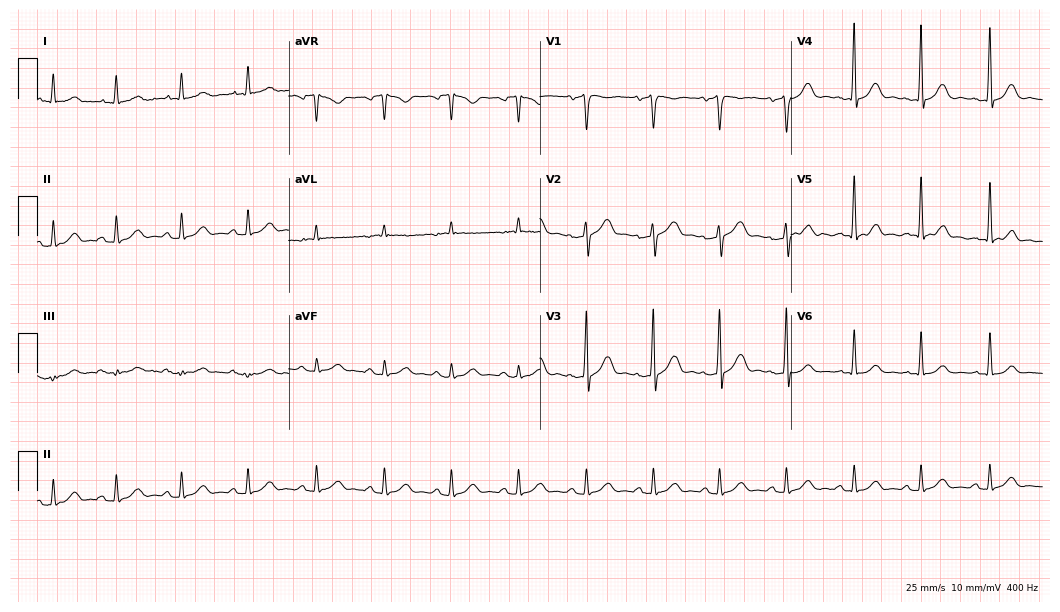
Electrocardiogram, a 57-year-old male patient. Overall reading on record: normal ECG.